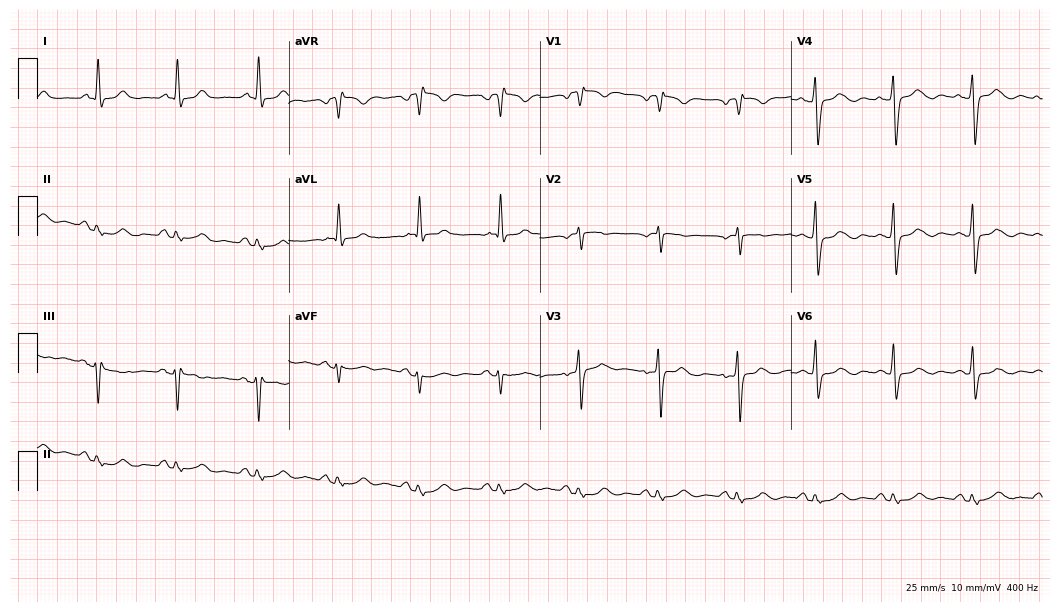
ECG (10.2-second recording at 400 Hz) — a 70-year-old female. Screened for six findings — first-degree AV block, right bundle branch block, left bundle branch block, sinus bradycardia, atrial fibrillation, sinus tachycardia — none is recorded. Findings outside these six are not listed.